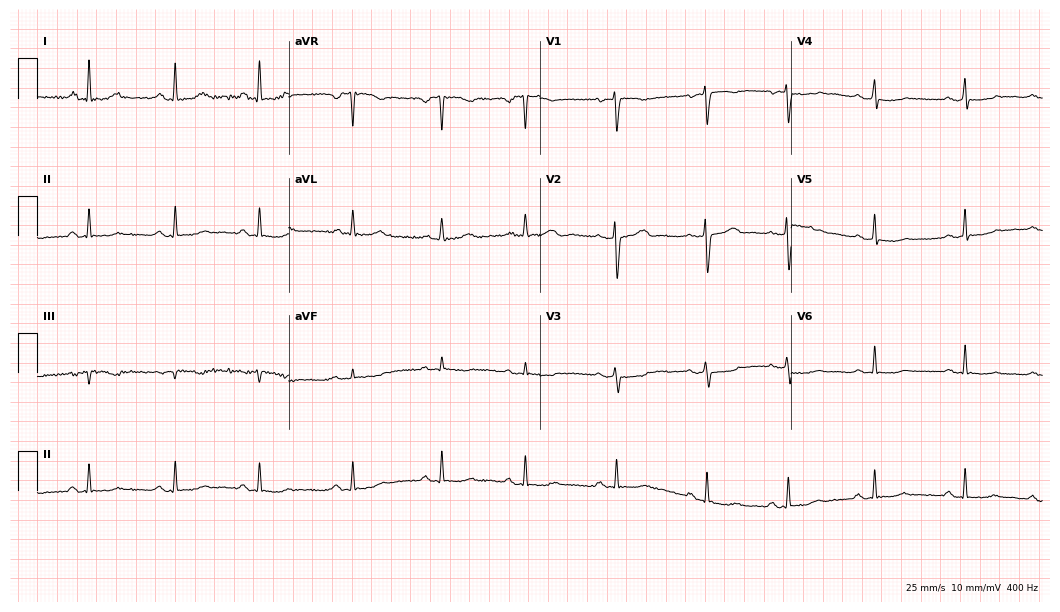
Resting 12-lead electrocardiogram (10.2-second recording at 400 Hz). Patient: a 36-year-old woman. Read as a normal ECG.